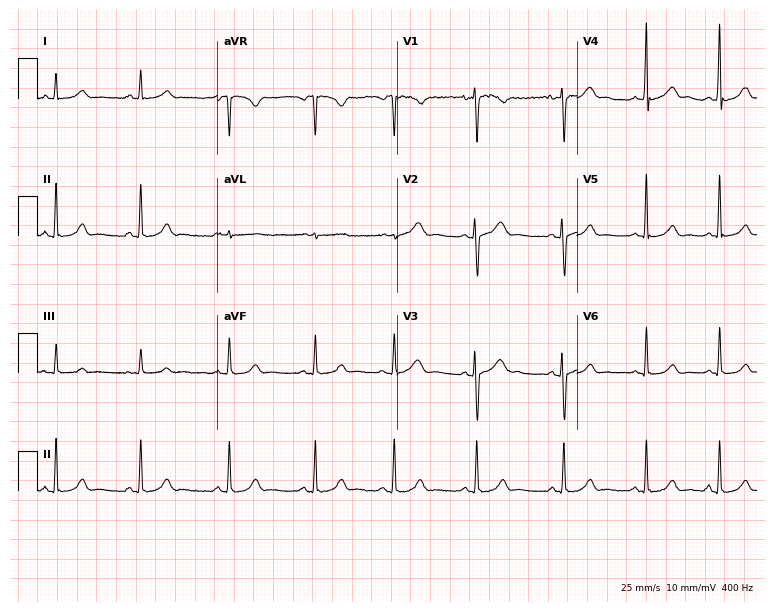
Standard 12-lead ECG recorded from a female patient, 18 years old. Read as a normal ECG.